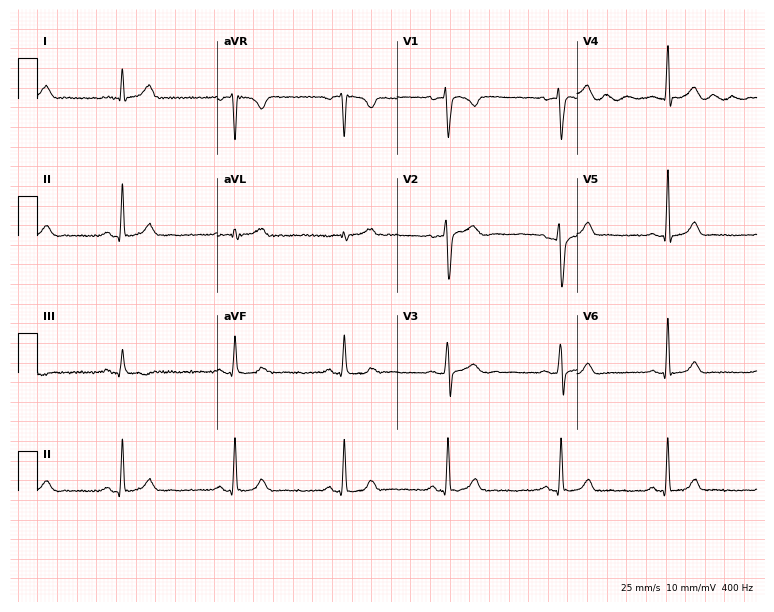
Resting 12-lead electrocardiogram. Patient: a 26-year-old man. Read as a normal ECG.